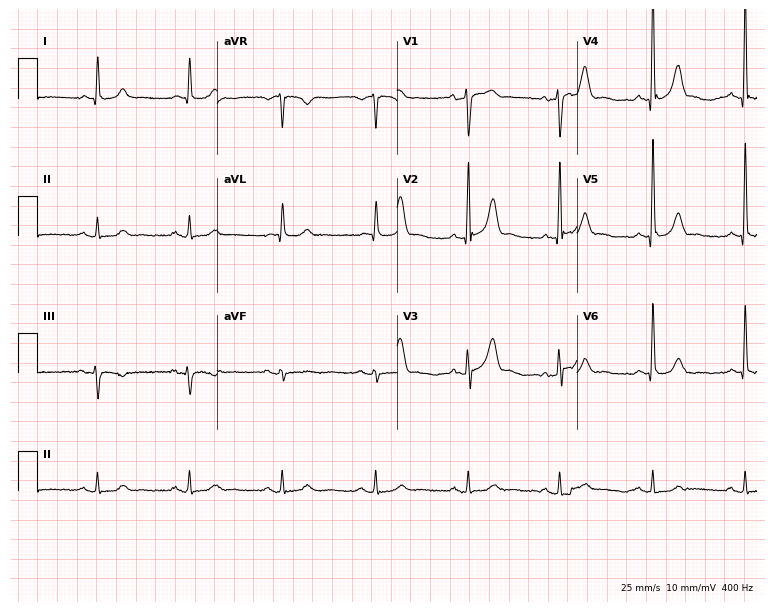
Electrocardiogram (7.3-second recording at 400 Hz), a 69-year-old male patient. Overall reading on record: normal ECG.